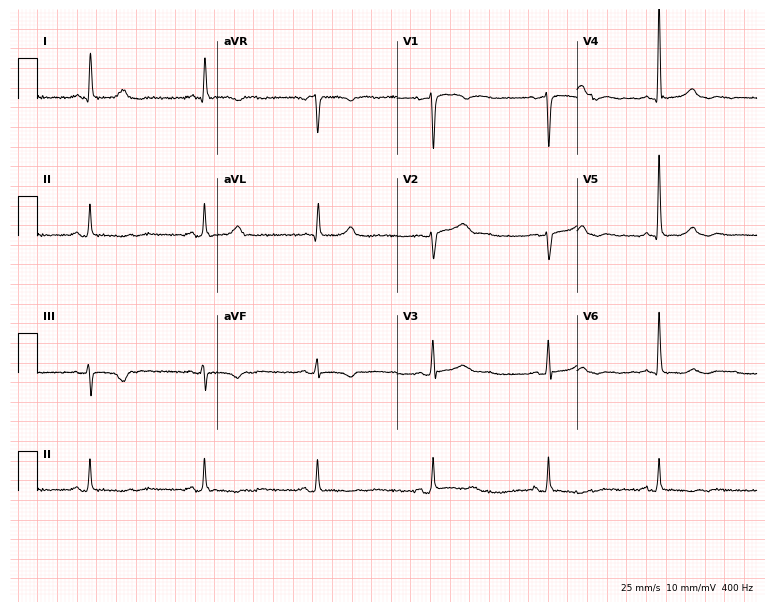
ECG (7.3-second recording at 400 Hz) — a female patient, 55 years old. Screened for six findings — first-degree AV block, right bundle branch block (RBBB), left bundle branch block (LBBB), sinus bradycardia, atrial fibrillation (AF), sinus tachycardia — none is recorded.